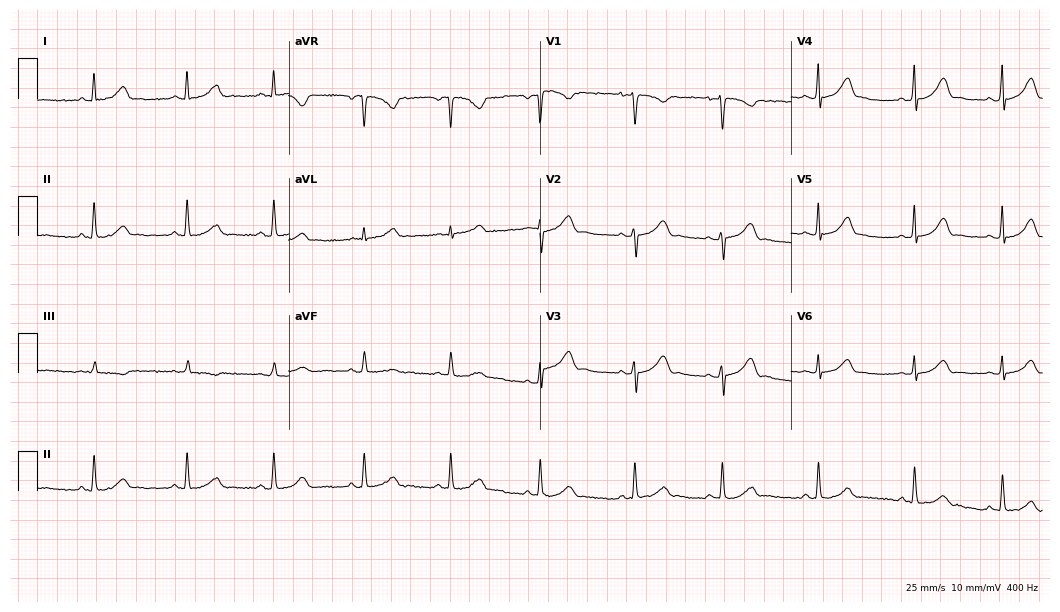
ECG — a 27-year-old female patient. Screened for six findings — first-degree AV block, right bundle branch block, left bundle branch block, sinus bradycardia, atrial fibrillation, sinus tachycardia — none is recorded.